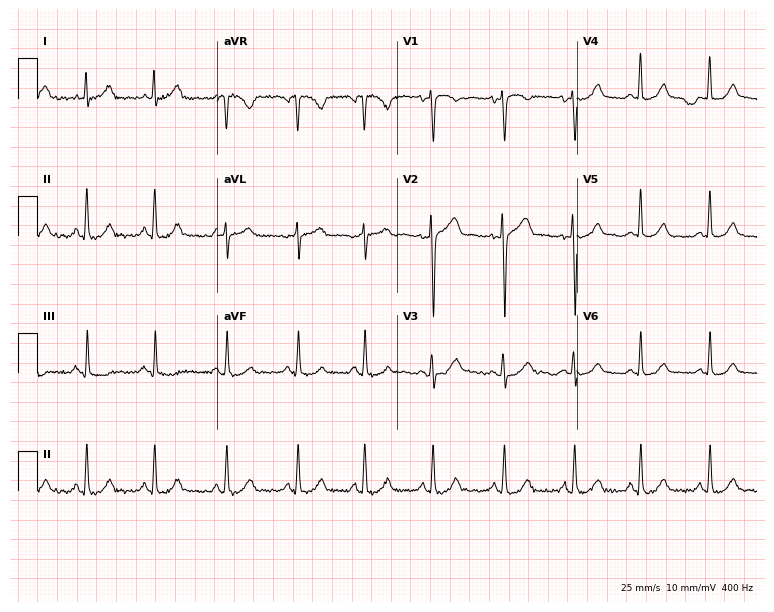
12-lead ECG from a 39-year-old female patient. Labelled as a normal ECG.